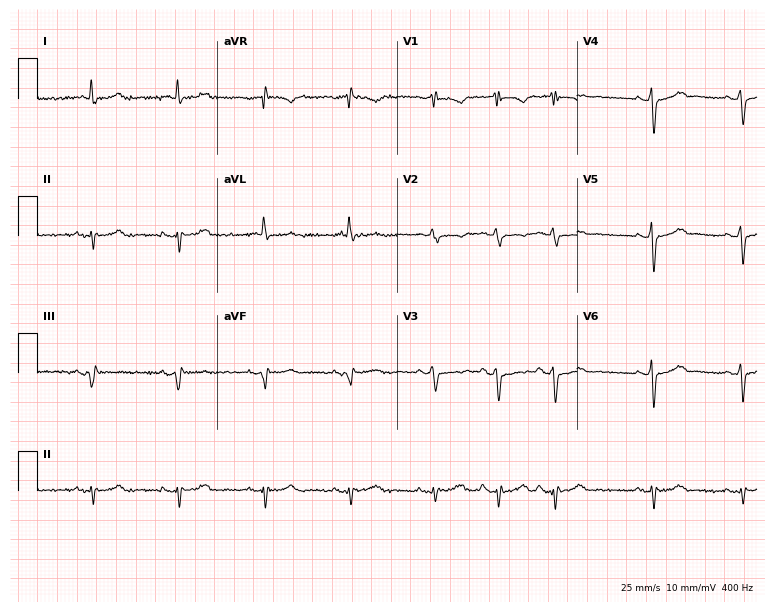
Resting 12-lead electrocardiogram. Patient: a man, 79 years old. None of these six findings is recorded: first-degree AV block, right bundle branch block, left bundle branch block, sinus bradycardia, atrial fibrillation, sinus tachycardia. Only these six findings were labelled.